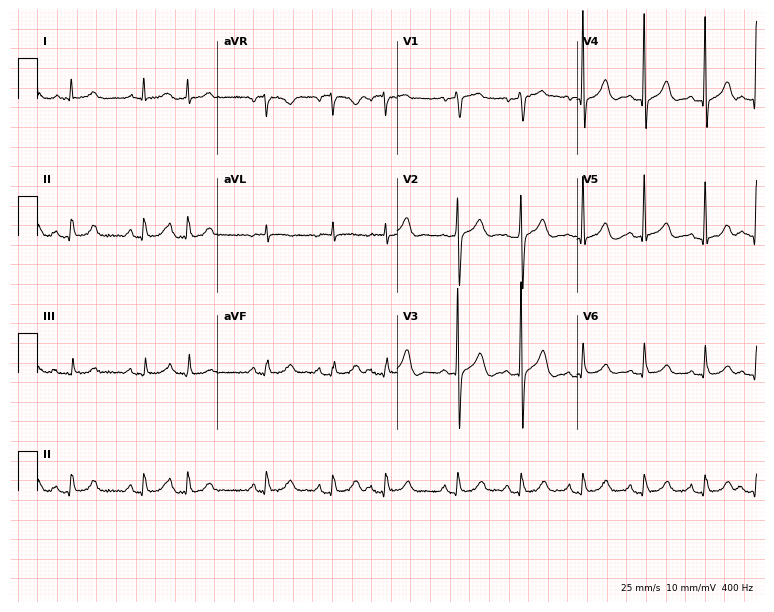
Electrocardiogram (7.3-second recording at 400 Hz), a 71-year-old male patient. Of the six screened findings (first-degree AV block, right bundle branch block (RBBB), left bundle branch block (LBBB), sinus bradycardia, atrial fibrillation (AF), sinus tachycardia), none is recorded.